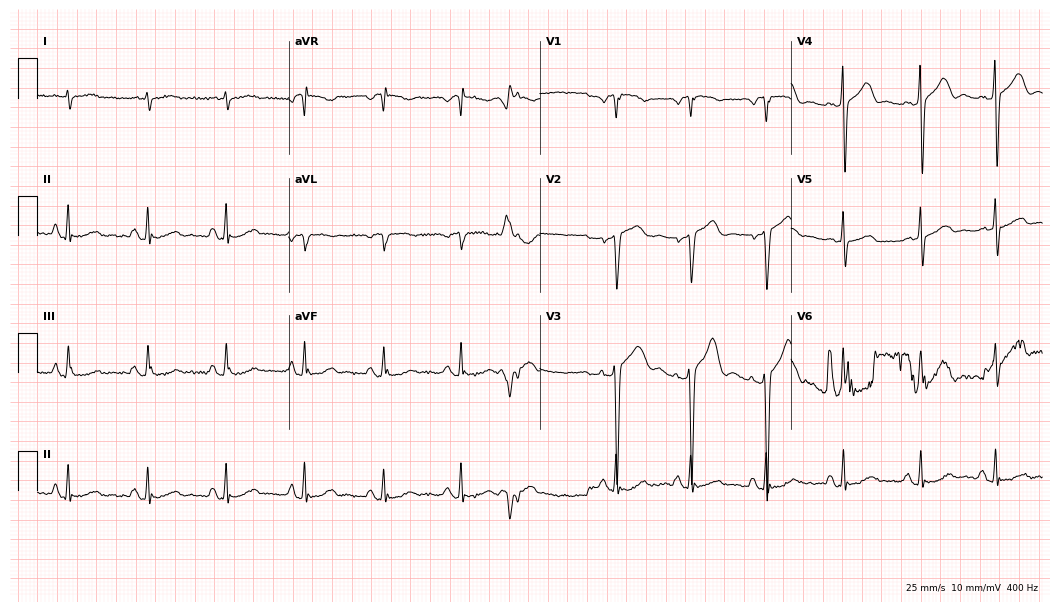
Standard 12-lead ECG recorded from an 82-year-old man. None of these six findings is recorded: first-degree AV block, right bundle branch block (RBBB), left bundle branch block (LBBB), sinus bradycardia, atrial fibrillation (AF), sinus tachycardia. Only these six findings were labelled.